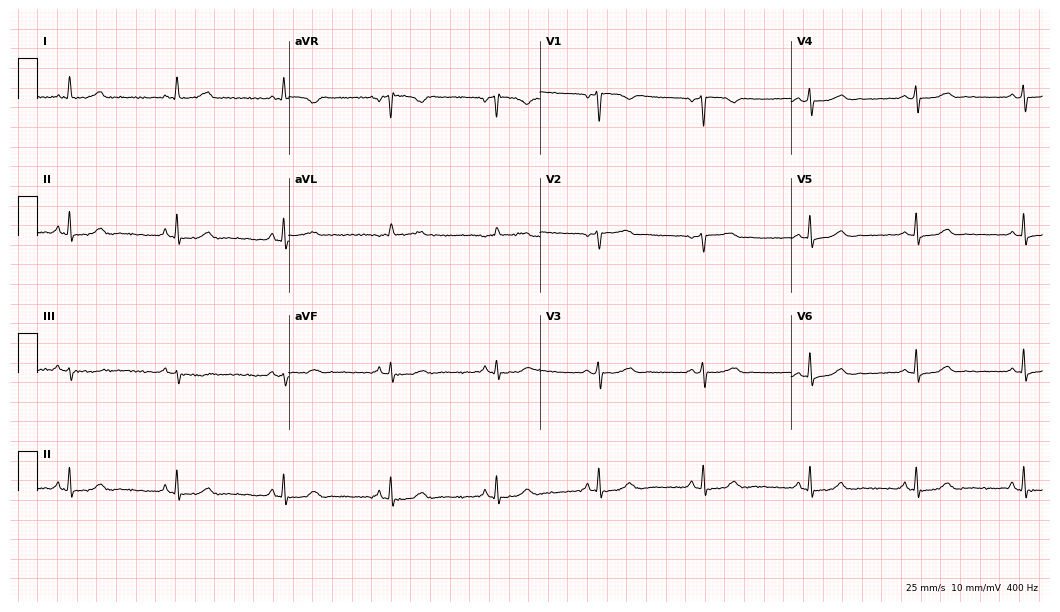
ECG — a 47-year-old woman. Labelled as a normal ECG.